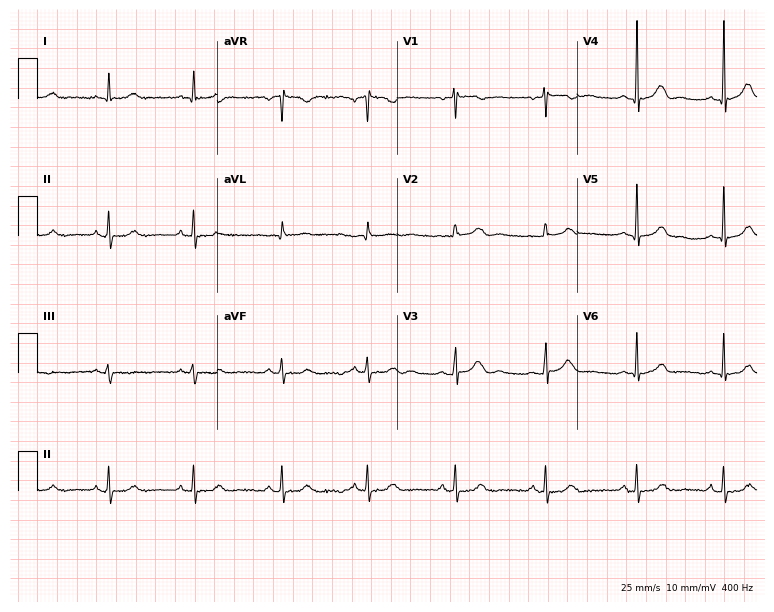
ECG — a woman, 31 years old. Screened for six findings — first-degree AV block, right bundle branch block (RBBB), left bundle branch block (LBBB), sinus bradycardia, atrial fibrillation (AF), sinus tachycardia — none is recorded.